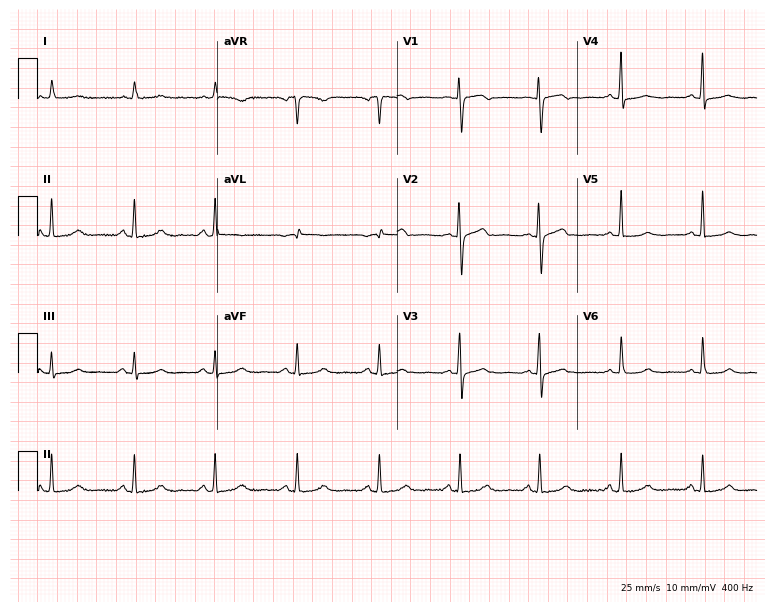
12-lead ECG from a female, 60 years old (7.3-second recording at 400 Hz). No first-degree AV block, right bundle branch block, left bundle branch block, sinus bradycardia, atrial fibrillation or sinus tachycardia recorded for this tracing.